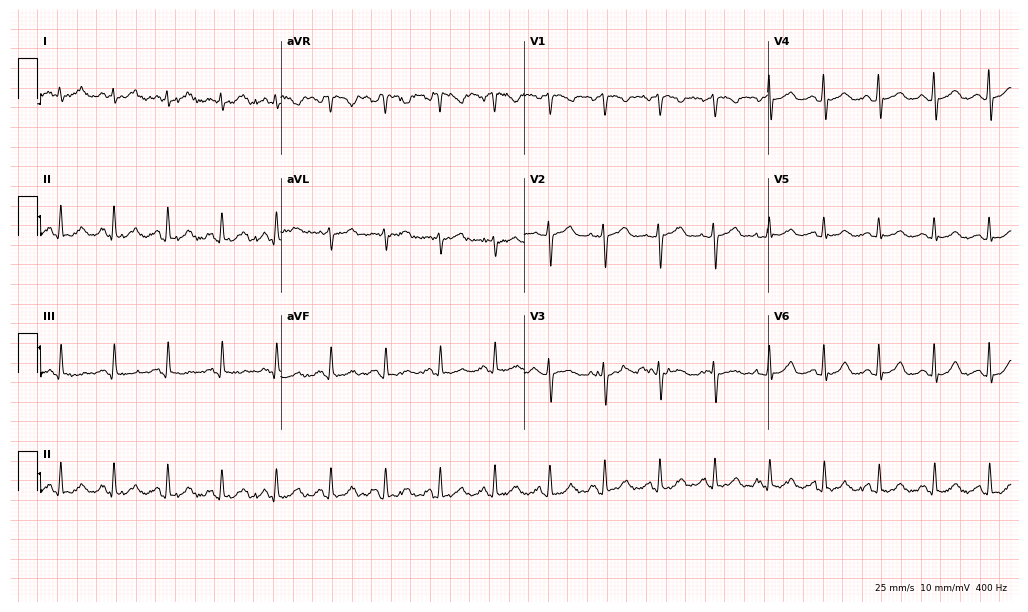
12-lead ECG from a woman, 35 years old (9.9-second recording at 400 Hz). Shows sinus tachycardia (a sinus rate of 100 beats per minute or more).